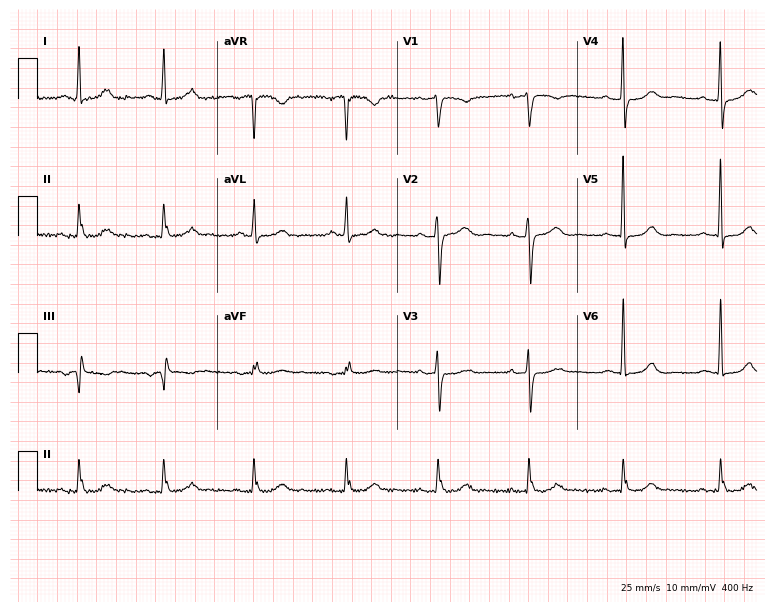
Standard 12-lead ECG recorded from a 65-year-old woman. None of these six findings is recorded: first-degree AV block, right bundle branch block (RBBB), left bundle branch block (LBBB), sinus bradycardia, atrial fibrillation (AF), sinus tachycardia. Other findings, if any, are not listed.